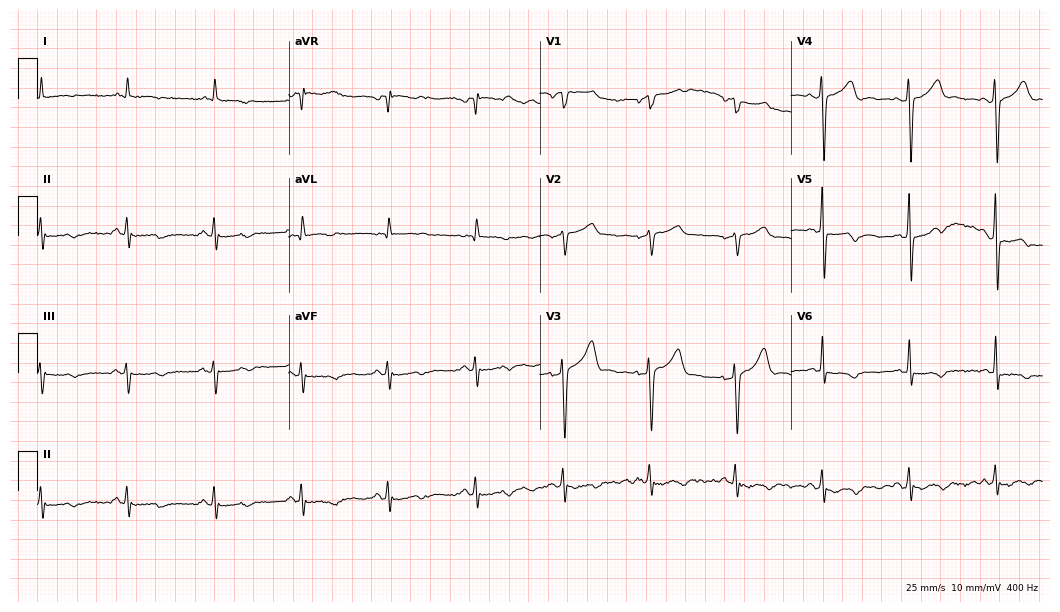
Electrocardiogram (10.2-second recording at 400 Hz), a man, 85 years old. Of the six screened findings (first-degree AV block, right bundle branch block (RBBB), left bundle branch block (LBBB), sinus bradycardia, atrial fibrillation (AF), sinus tachycardia), none is recorded.